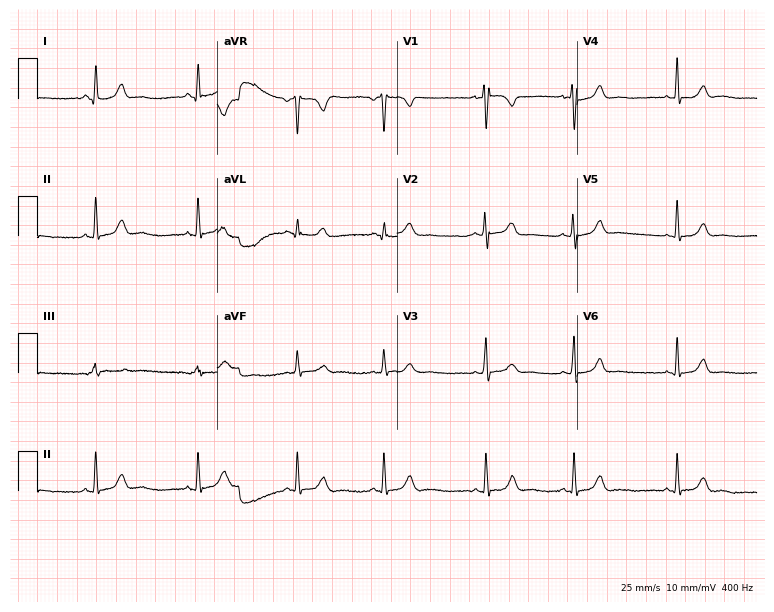
Electrocardiogram (7.3-second recording at 400 Hz), a woman, 21 years old. Of the six screened findings (first-degree AV block, right bundle branch block, left bundle branch block, sinus bradycardia, atrial fibrillation, sinus tachycardia), none is recorded.